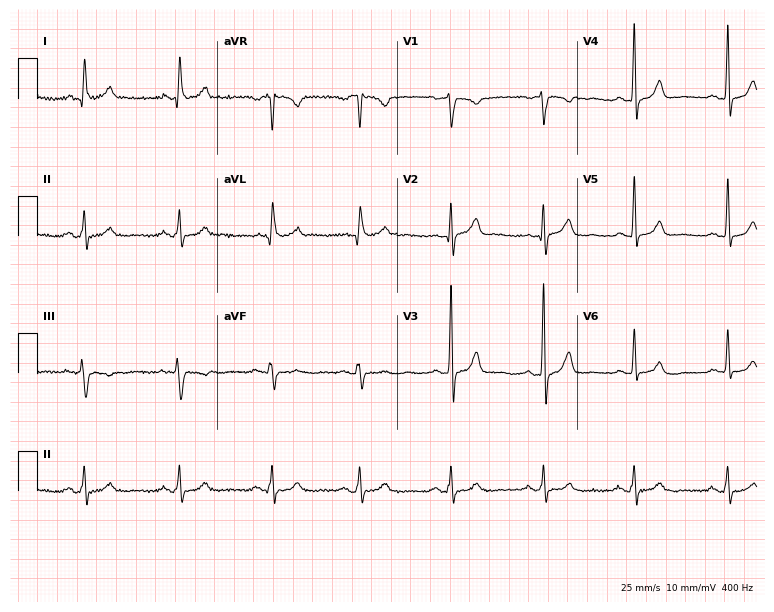
ECG (7.3-second recording at 400 Hz) — a 37-year-old man. Labelled as a normal ECG.